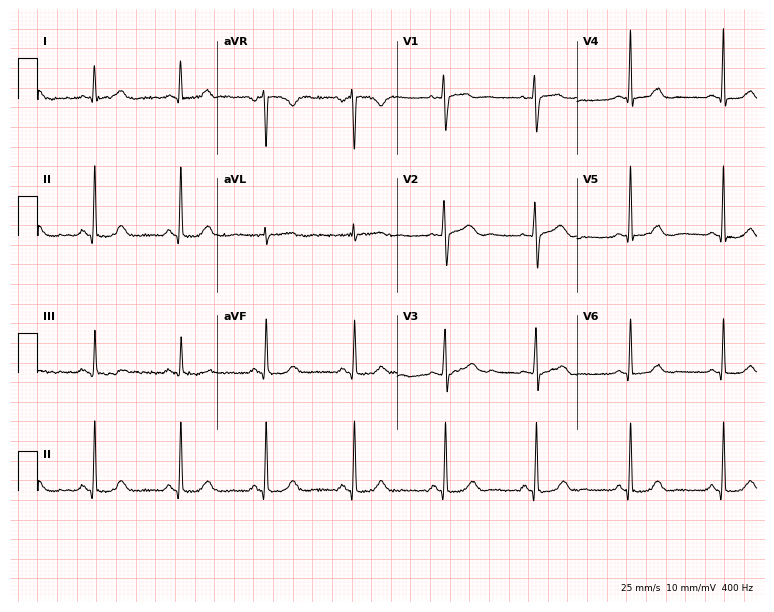
Electrocardiogram, a woman, 49 years old. Of the six screened findings (first-degree AV block, right bundle branch block, left bundle branch block, sinus bradycardia, atrial fibrillation, sinus tachycardia), none is recorded. Other findings, if any, are not listed.